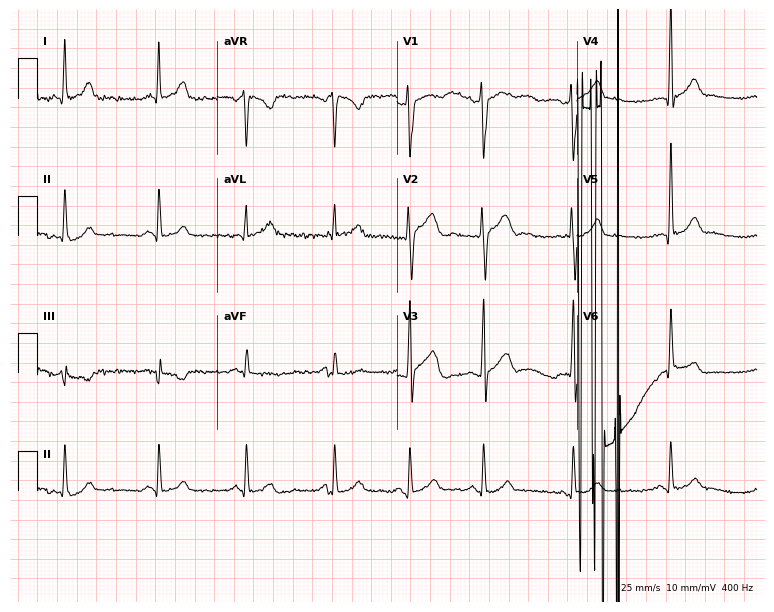
ECG — a male patient, 25 years old. Screened for six findings — first-degree AV block, right bundle branch block, left bundle branch block, sinus bradycardia, atrial fibrillation, sinus tachycardia — none is recorded.